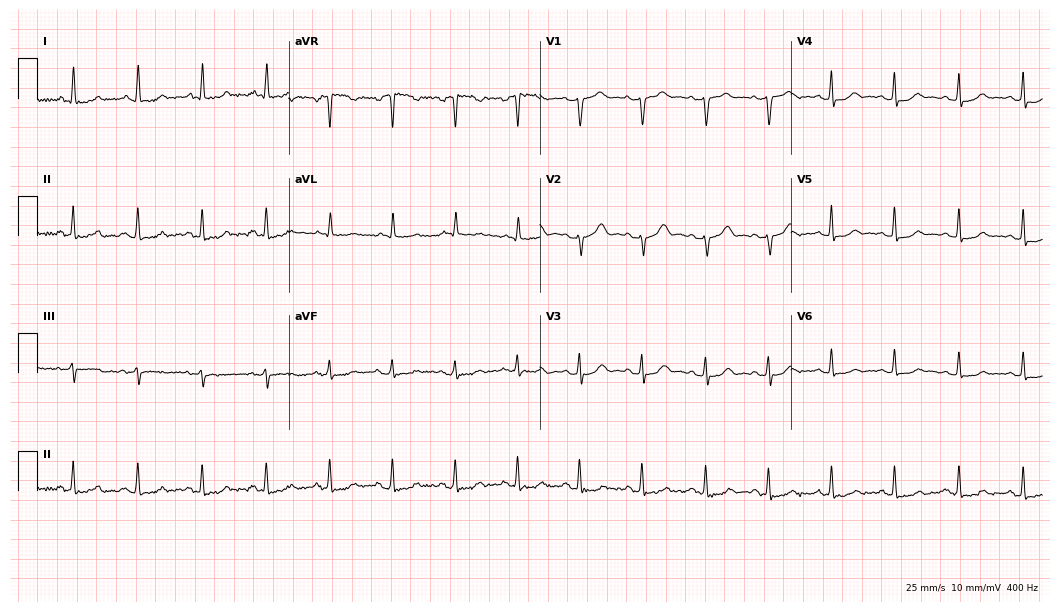
12-lead ECG from a female, 54 years old (10.2-second recording at 400 Hz). Recorded interpretation: within normal limits.